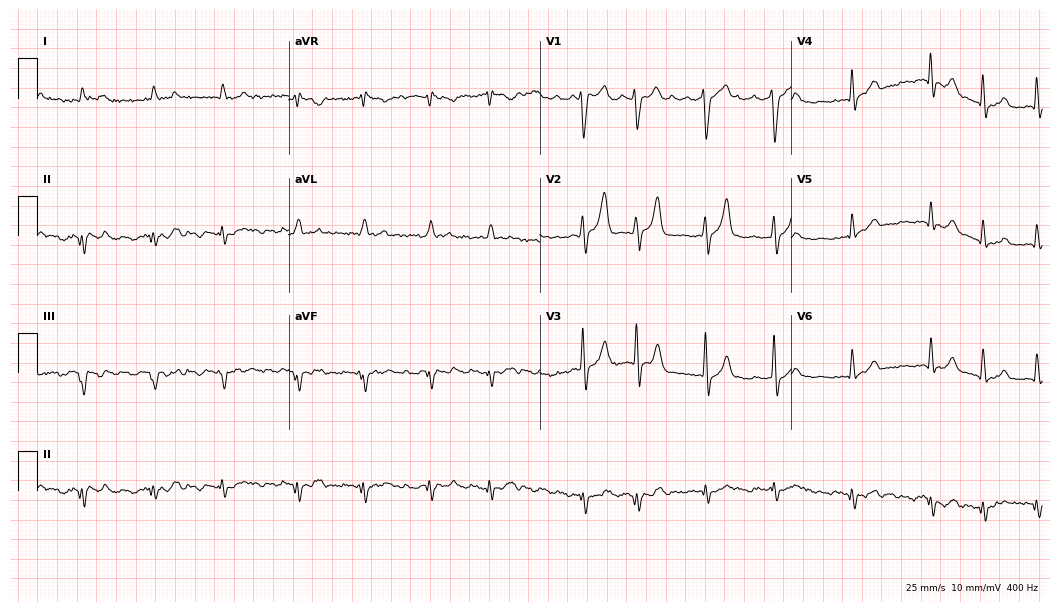
12-lead ECG (10.2-second recording at 400 Hz) from a male, 78 years old. Screened for six findings — first-degree AV block, right bundle branch block, left bundle branch block, sinus bradycardia, atrial fibrillation, sinus tachycardia — none is recorded.